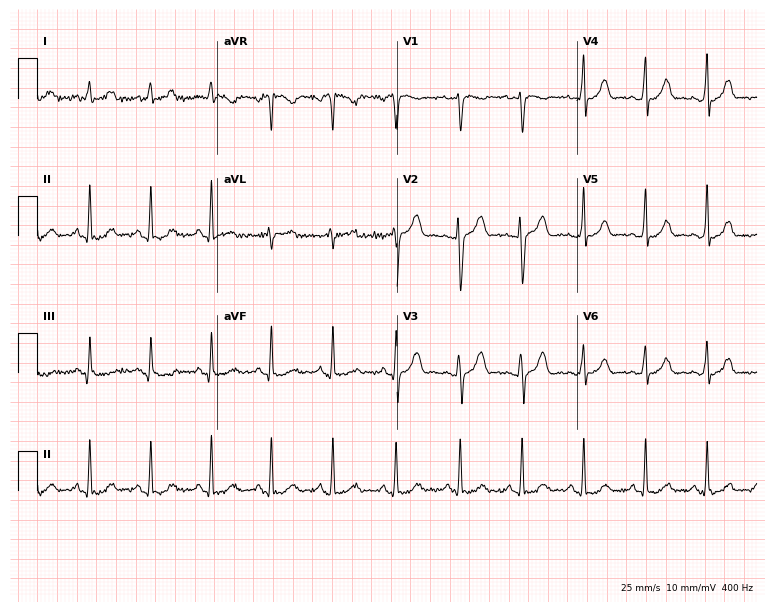
12-lead ECG (7.3-second recording at 400 Hz) from a 35-year-old woman. Screened for six findings — first-degree AV block, right bundle branch block, left bundle branch block, sinus bradycardia, atrial fibrillation, sinus tachycardia — none is recorded.